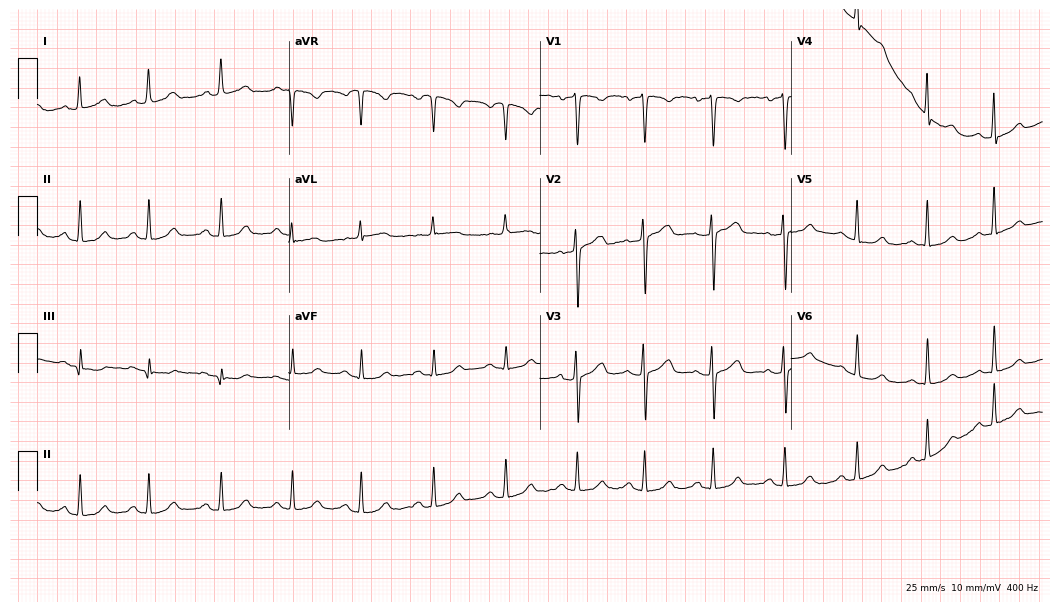
12-lead ECG from a 60-year-old female patient. Labelled as a normal ECG.